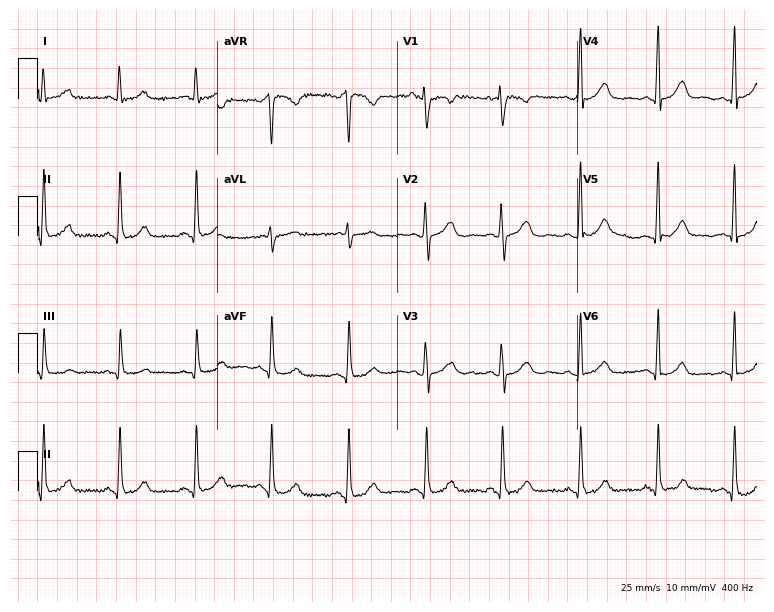
12-lead ECG (7.3-second recording at 400 Hz) from a 47-year-old woman. Labelled as a normal ECG.